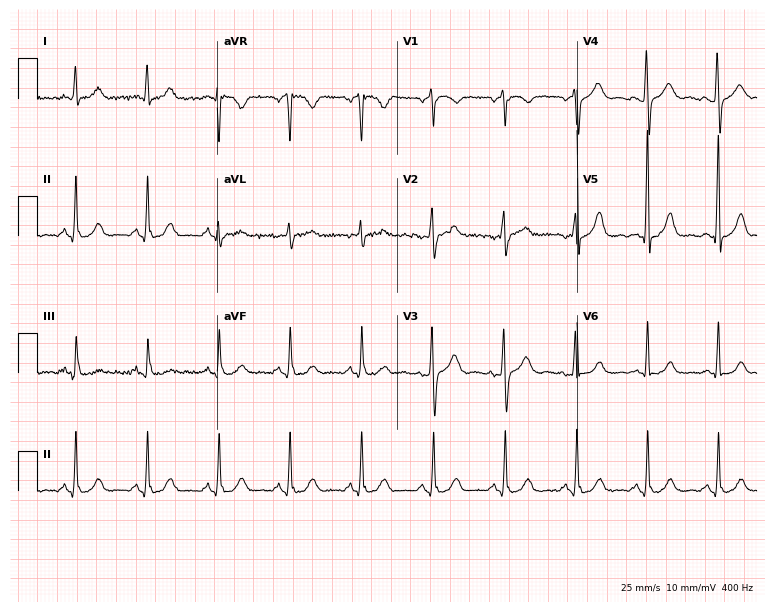
ECG — a female patient, 54 years old. Screened for six findings — first-degree AV block, right bundle branch block, left bundle branch block, sinus bradycardia, atrial fibrillation, sinus tachycardia — none is recorded. Other findings, if any, are not listed.